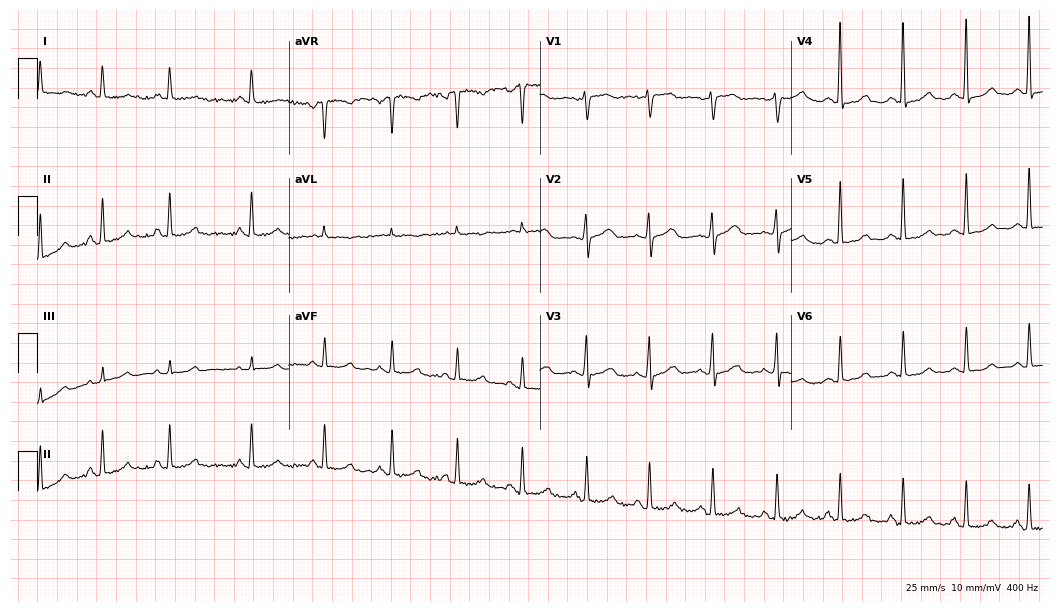
Standard 12-lead ECG recorded from a 63-year-old female patient. Read as a normal ECG.